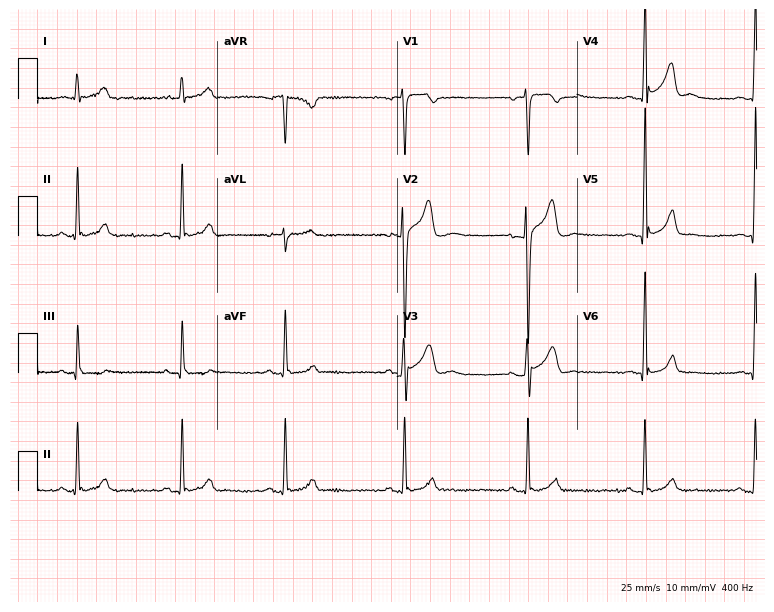
Electrocardiogram, a 29-year-old man. Of the six screened findings (first-degree AV block, right bundle branch block, left bundle branch block, sinus bradycardia, atrial fibrillation, sinus tachycardia), none is recorded. Only these six findings were labelled.